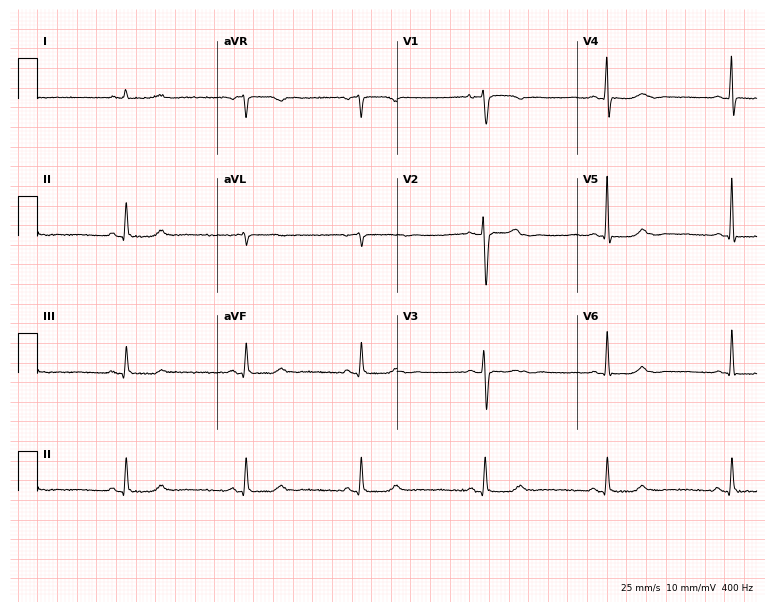
Standard 12-lead ECG recorded from a female, 67 years old. None of these six findings is recorded: first-degree AV block, right bundle branch block (RBBB), left bundle branch block (LBBB), sinus bradycardia, atrial fibrillation (AF), sinus tachycardia. Findings outside these six are not listed.